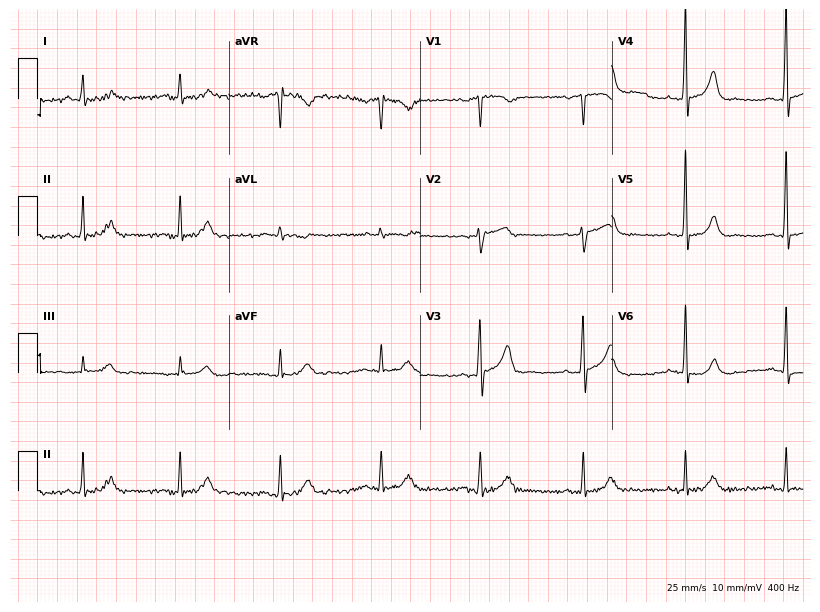
ECG (7.8-second recording at 400 Hz) — a 70-year-old man. Labelled as a normal ECG.